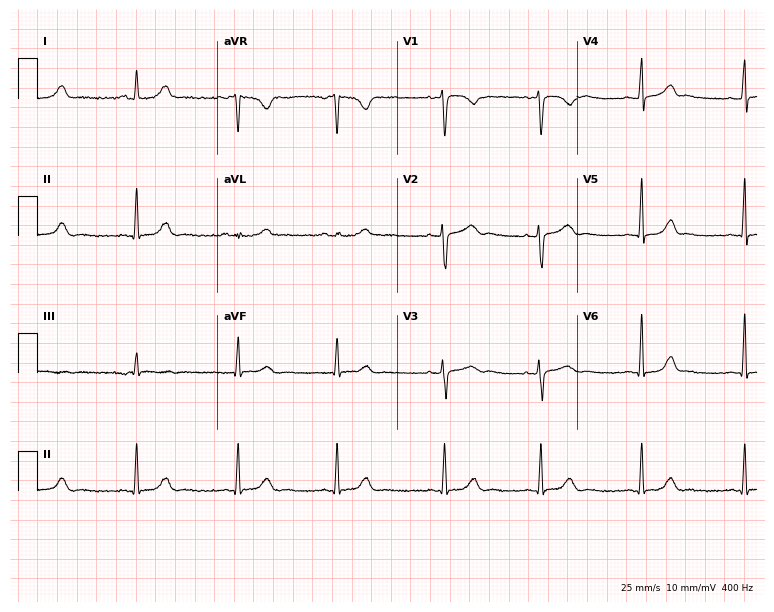
ECG — a 33-year-old woman. Labelled as a normal ECG.